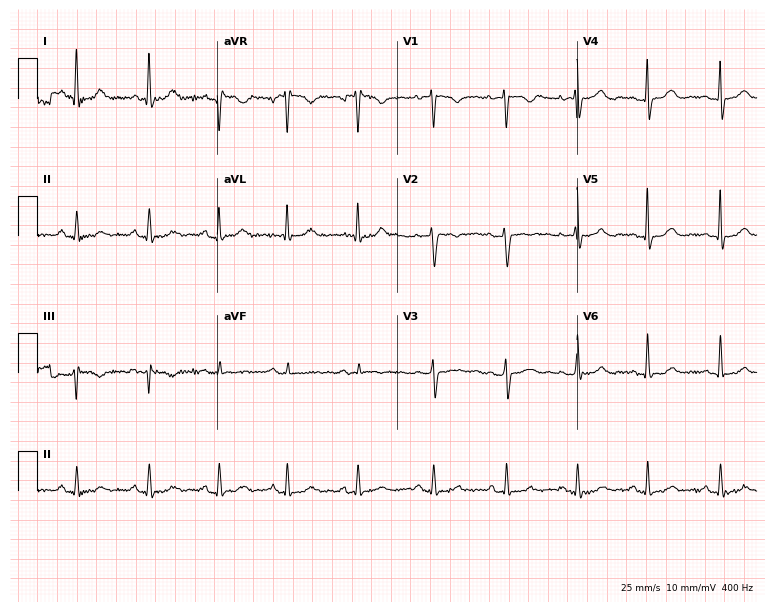
12-lead ECG from a female patient, 44 years old. Recorded interpretation: within normal limits.